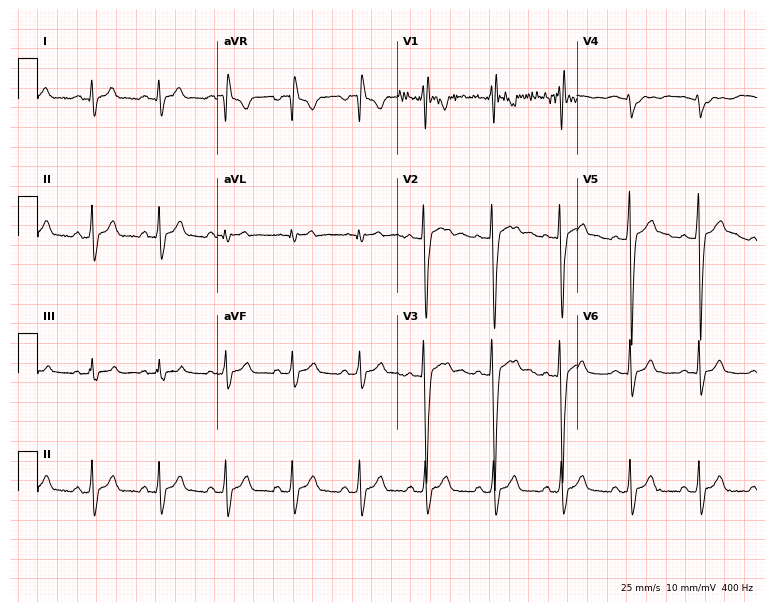
12-lead ECG (7.3-second recording at 400 Hz) from a 17-year-old male. Screened for six findings — first-degree AV block, right bundle branch block, left bundle branch block, sinus bradycardia, atrial fibrillation, sinus tachycardia — none is recorded.